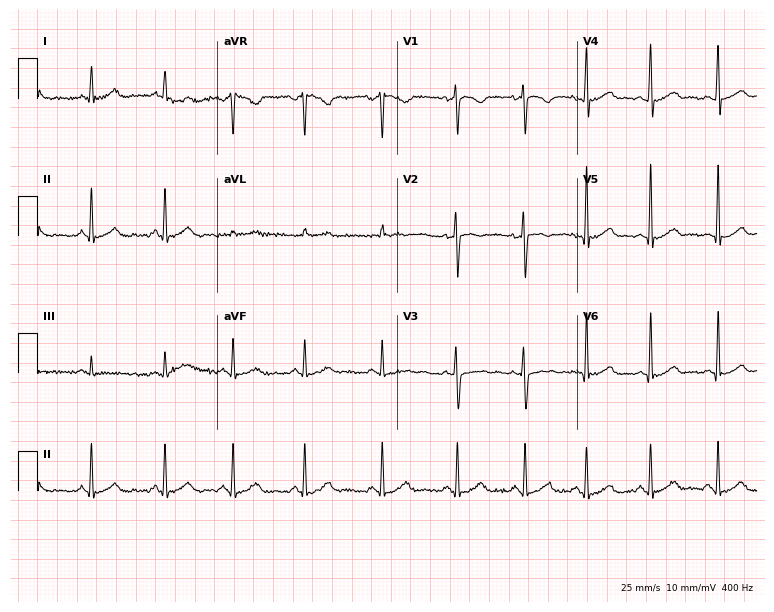
12-lead ECG (7.3-second recording at 400 Hz) from a 35-year-old woman. Labelled as a normal ECG.